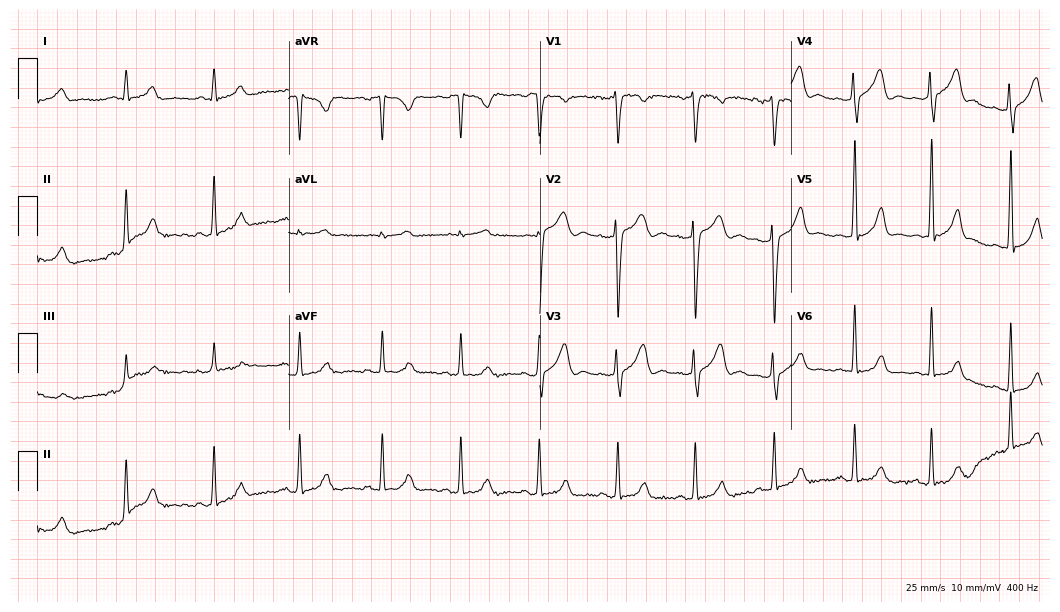
12-lead ECG from a man, 24 years old (10.2-second recording at 400 Hz). Recorded interpretation: within normal limits.